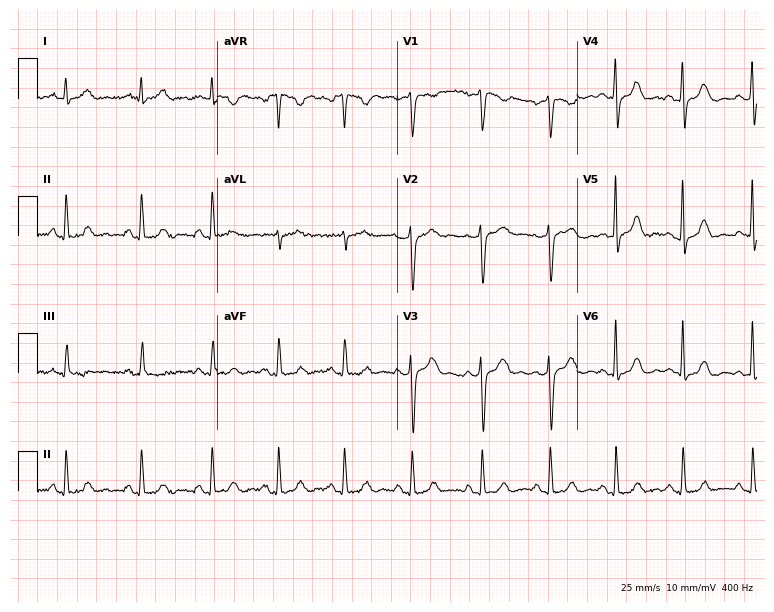
12-lead ECG from a female, 48 years old. Labelled as a normal ECG.